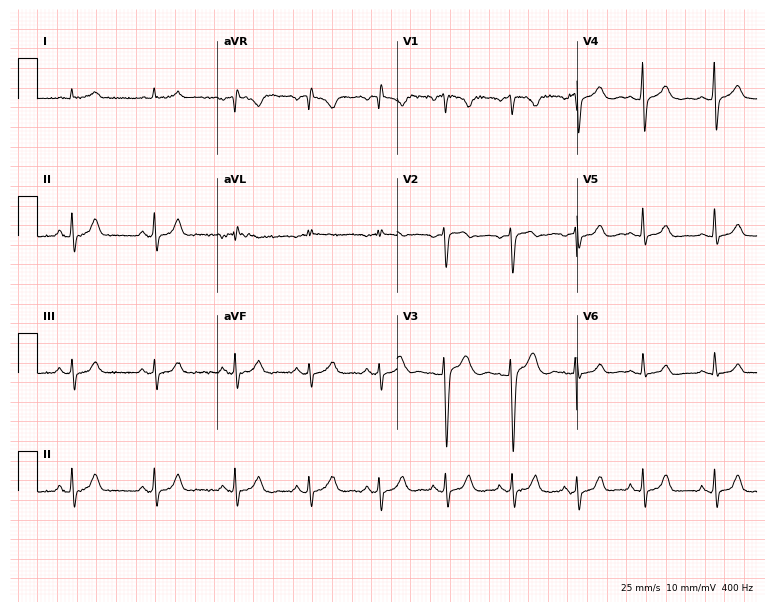
12-lead ECG from a man, 25 years old. Labelled as a normal ECG.